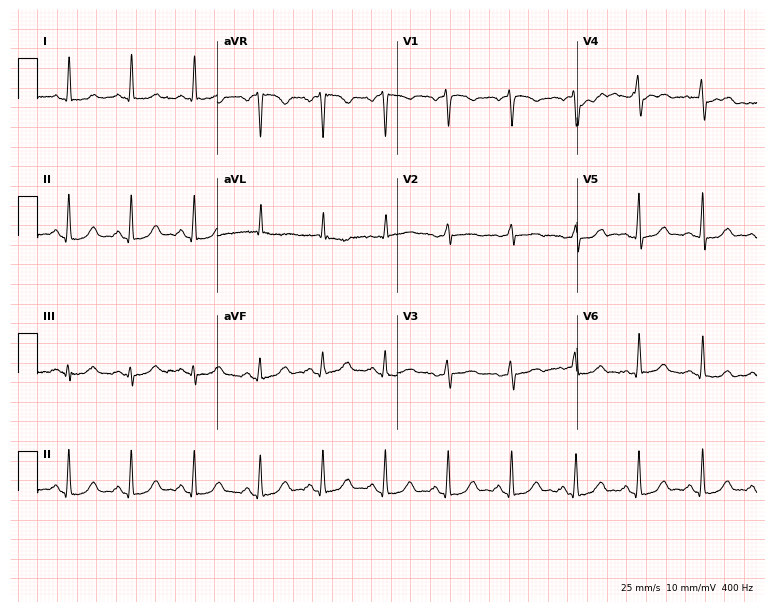
12-lead ECG from a 57-year-old female. Screened for six findings — first-degree AV block, right bundle branch block, left bundle branch block, sinus bradycardia, atrial fibrillation, sinus tachycardia — none is recorded.